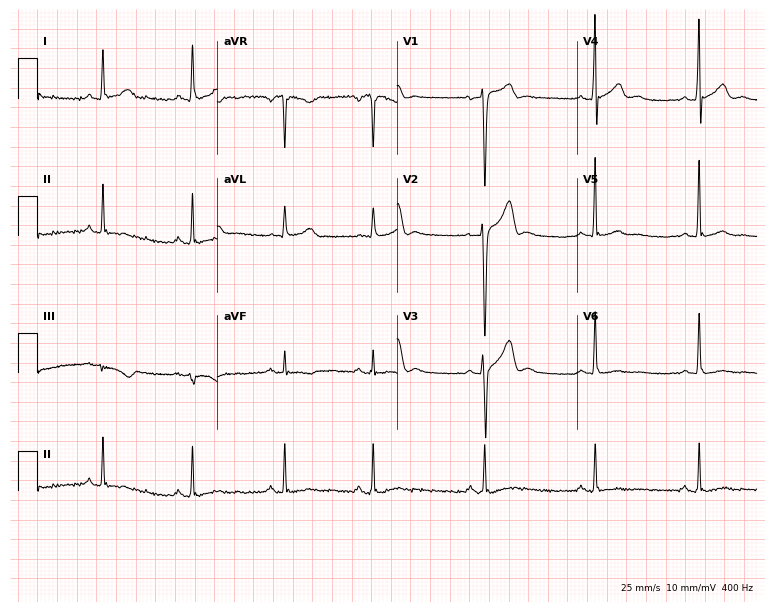
12-lead ECG from a 41-year-old man. Screened for six findings — first-degree AV block, right bundle branch block, left bundle branch block, sinus bradycardia, atrial fibrillation, sinus tachycardia — none is recorded.